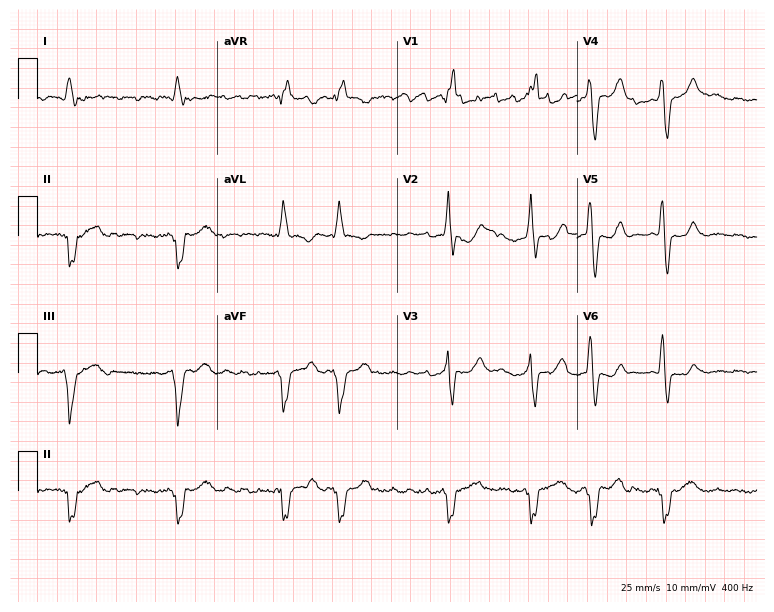
Standard 12-lead ECG recorded from a 60-year-old male patient. The tracing shows right bundle branch block, left bundle branch block, atrial fibrillation.